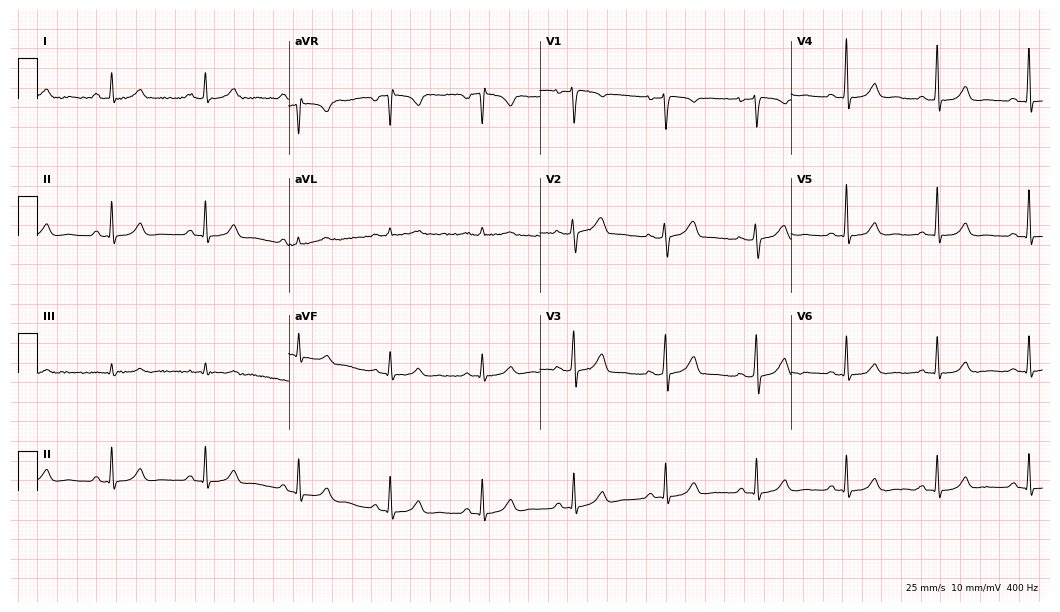
12-lead ECG from a woman, 45 years old. Recorded interpretation: within normal limits.